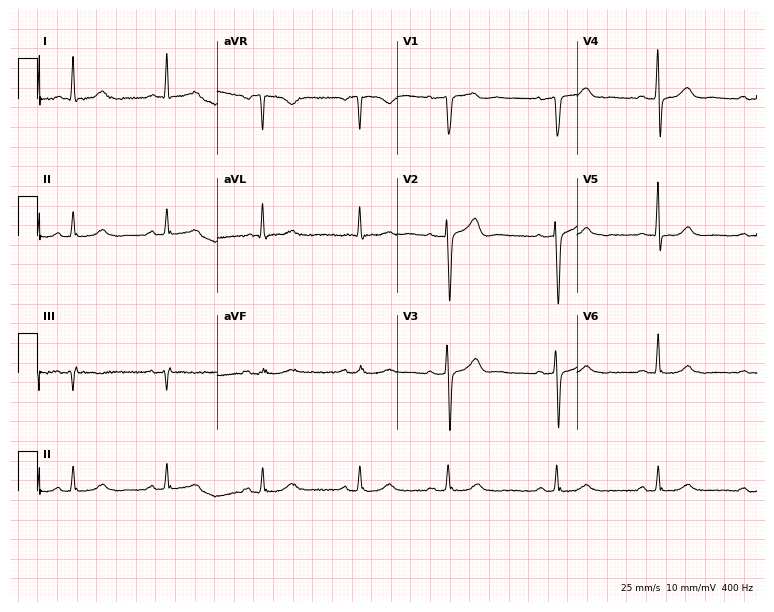
12-lead ECG from an 83-year-old male. Recorded interpretation: within normal limits.